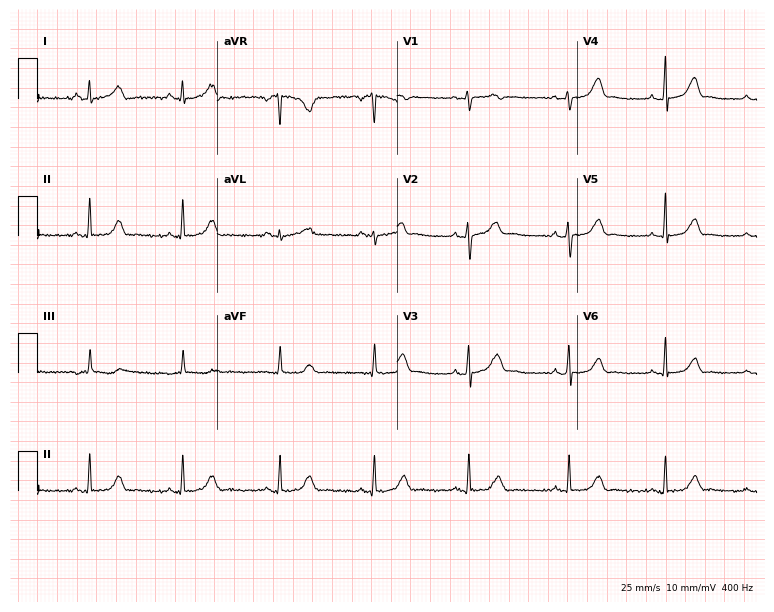
12-lead ECG from a 41-year-old female patient (7.3-second recording at 400 Hz). Recorded interpretation: within normal limits.